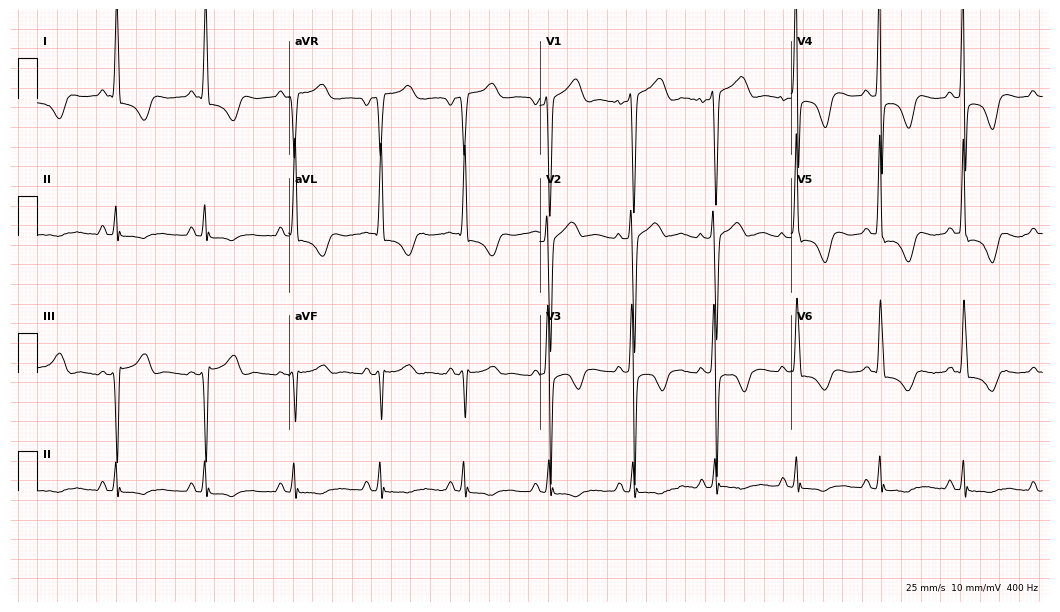
Standard 12-lead ECG recorded from a male, 41 years old. None of these six findings is recorded: first-degree AV block, right bundle branch block (RBBB), left bundle branch block (LBBB), sinus bradycardia, atrial fibrillation (AF), sinus tachycardia. Other findings, if any, are not listed.